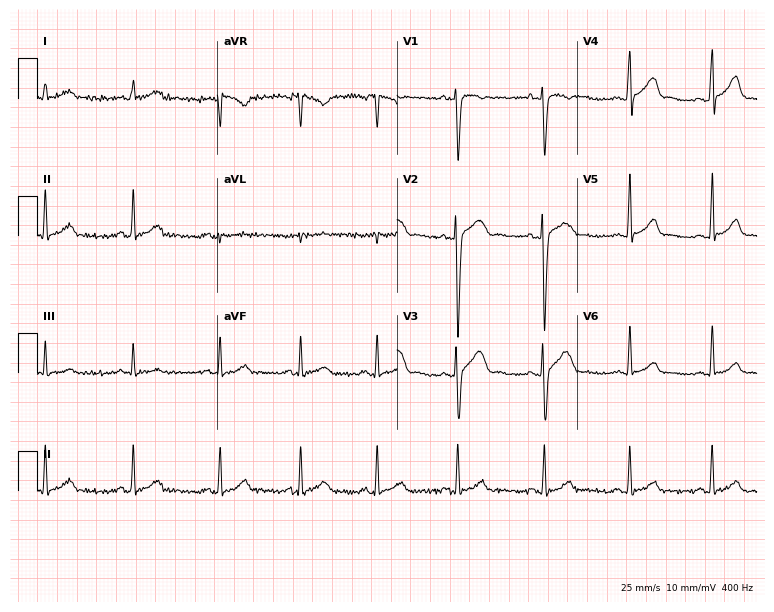
12-lead ECG from a 32-year-old male patient (7.3-second recording at 400 Hz). Recorded interpretation: within normal limits.